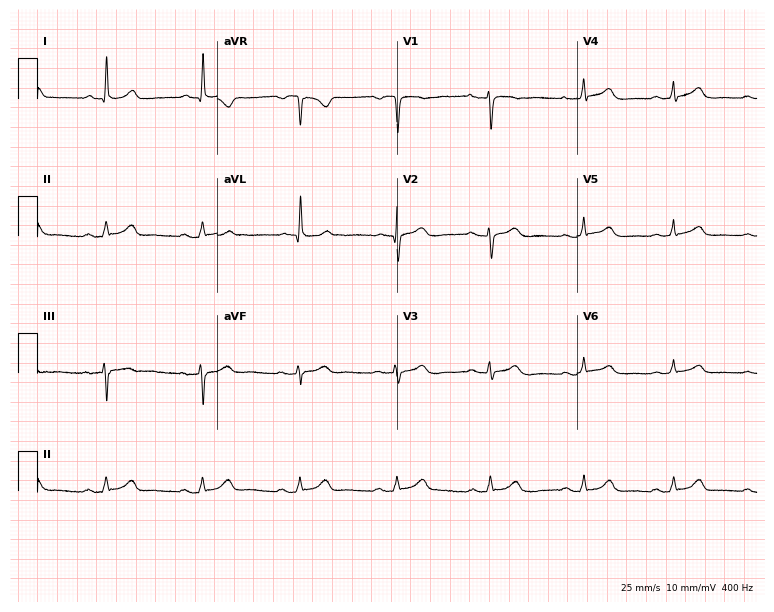
Resting 12-lead electrocardiogram. Patient: a 69-year-old woman. None of these six findings is recorded: first-degree AV block, right bundle branch block, left bundle branch block, sinus bradycardia, atrial fibrillation, sinus tachycardia. Other findings, if any, are not listed.